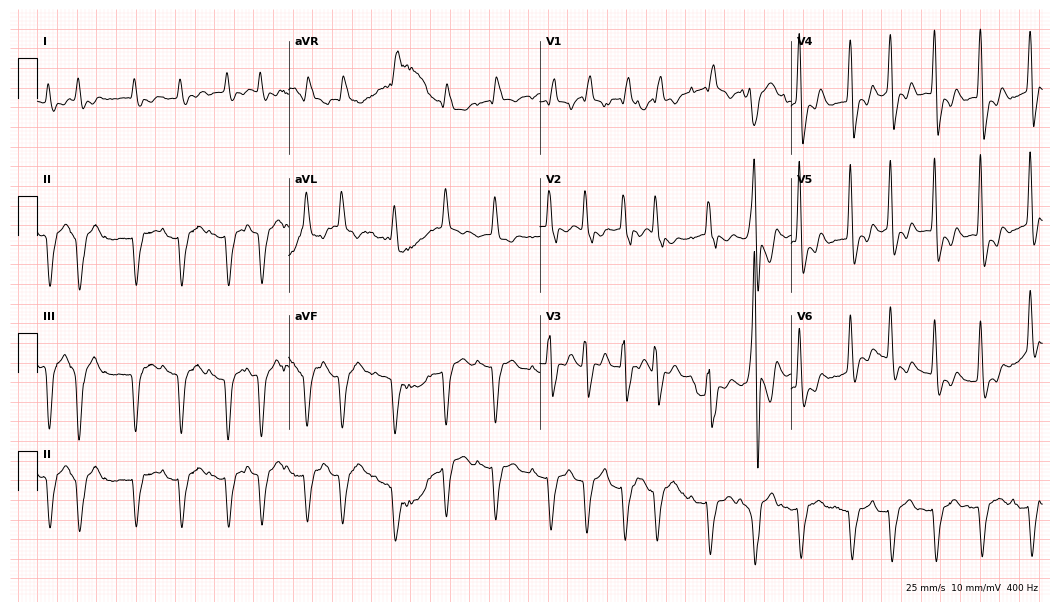
Standard 12-lead ECG recorded from a female, 85 years old. The tracing shows right bundle branch block, left bundle branch block, sinus tachycardia (a sinus rate of 100 beats per minute or more).